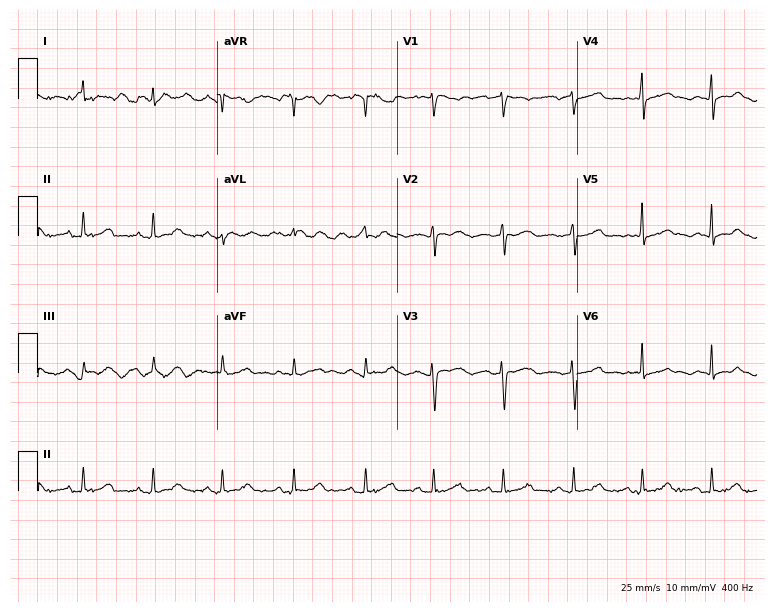
12-lead ECG from a 40-year-old female patient. No first-degree AV block, right bundle branch block, left bundle branch block, sinus bradycardia, atrial fibrillation or sinus tachycardia recorded for this tracing. Findings outside these six are not listed.